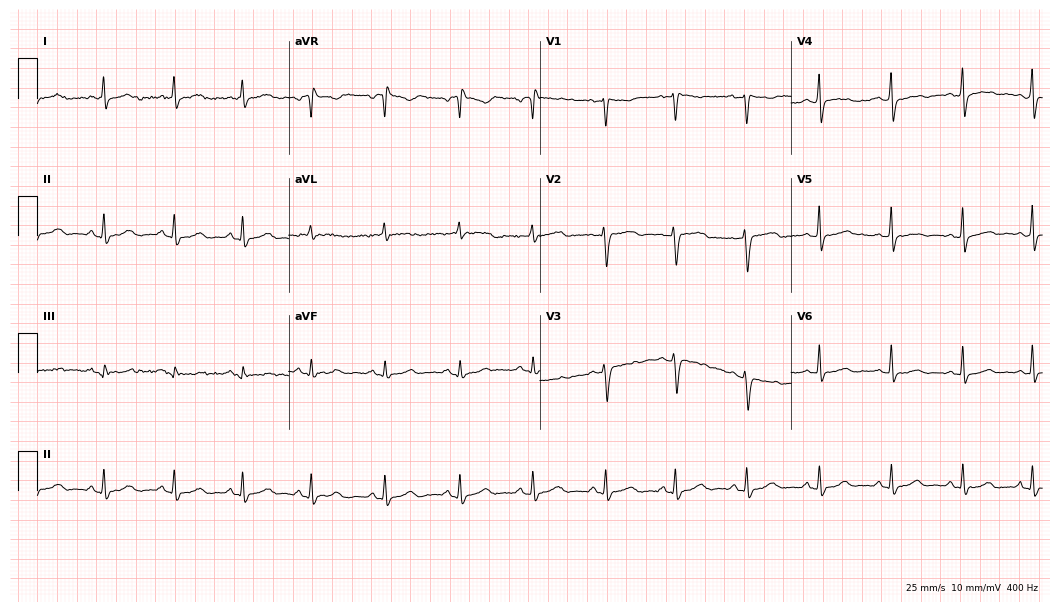
Electrocardiogram, a 17-year-old female. Overall reading on record: normal ECG.